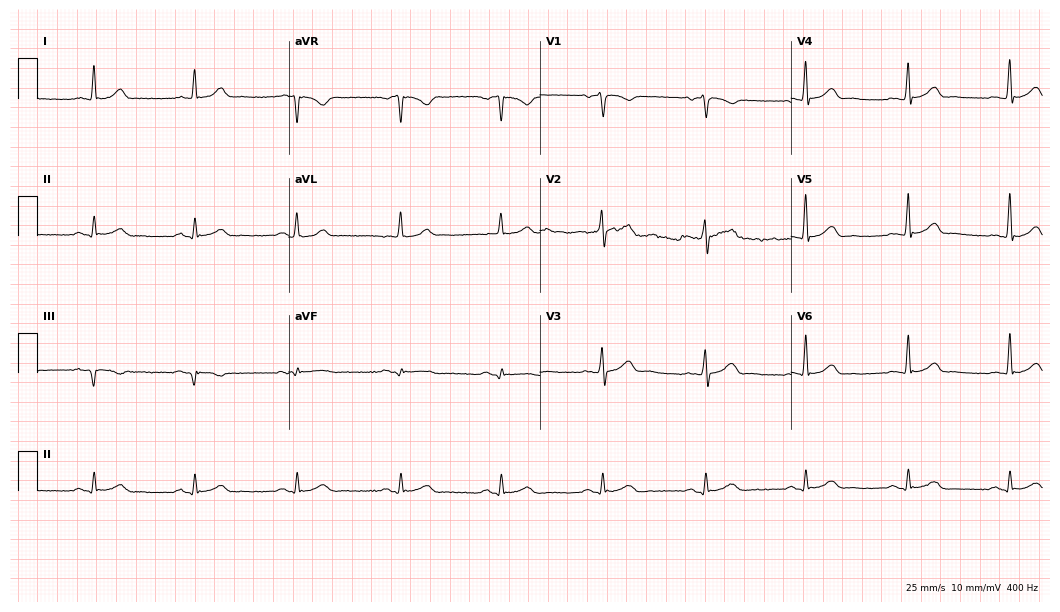
12-lead ECG from a 60-year-old male patient (10.2-second recording at 400 Hz). Recorded interpretation: within normal limits.